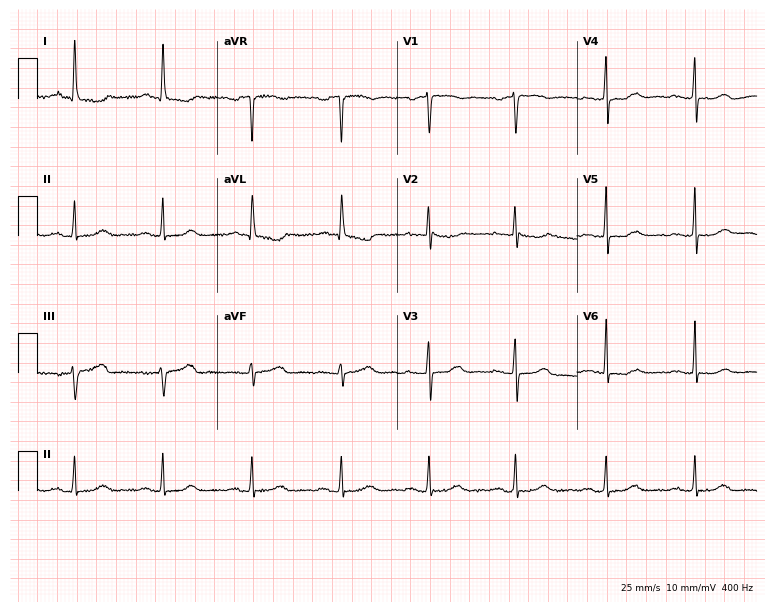
12-lead ECG from a woman, 34 years old (7.3-second recording at 400 Hz). No first-degree AV block, right bundle branch block (RBBB), left bundle branch block (LBBB), sinus bradycardia, atrial fibrillation (AF) or sinus tachycardia recorded for this tracing.